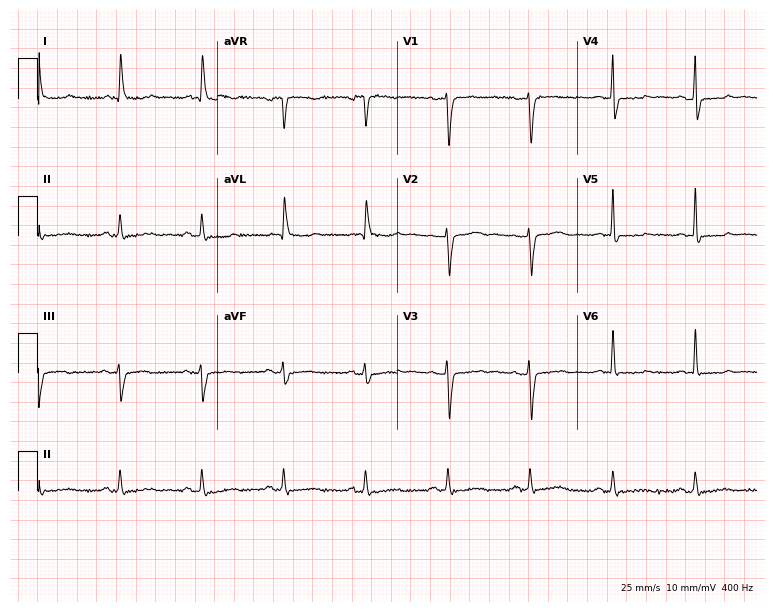
ECG — a female patient, 67 years old. Screened for six findings — first-degree AV block, right bundle branch block, left bundle branch block, sinus bradycardia, atrial fibrillation, sinus tachycardia — none is recorded. Findings outside these six are not listed.